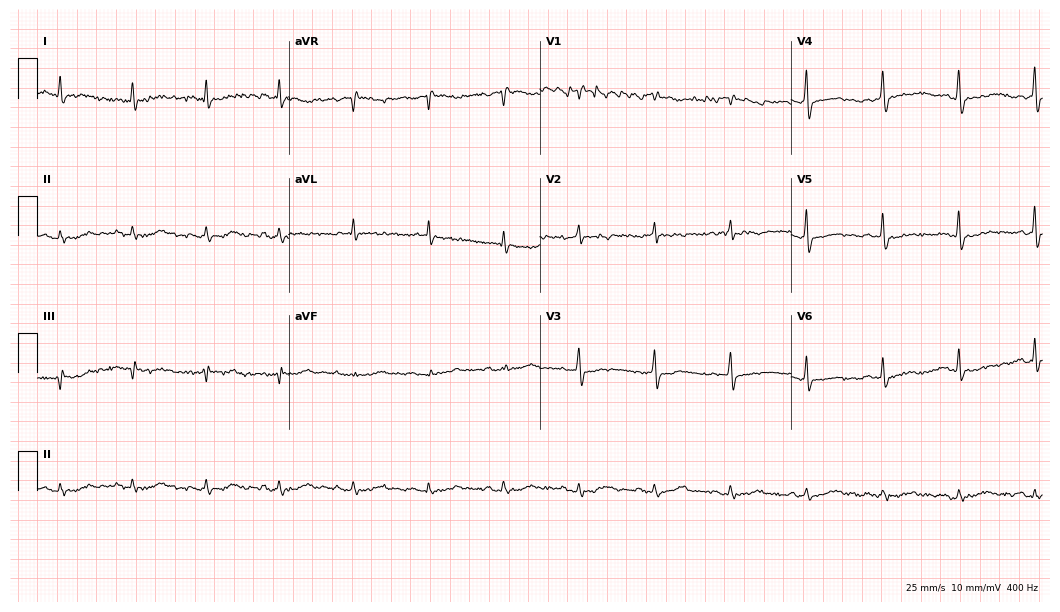
Standard 12-lead ECG recorded from a 78-year-old man. None of these six findings is recorded: first-degree AV block, right bundle branch block (RBBB), left bundle branch block (LBBB), sinus bradycardia, atrial fibrillation (AF), sinus tachycardia. Only these six findings were labelled.